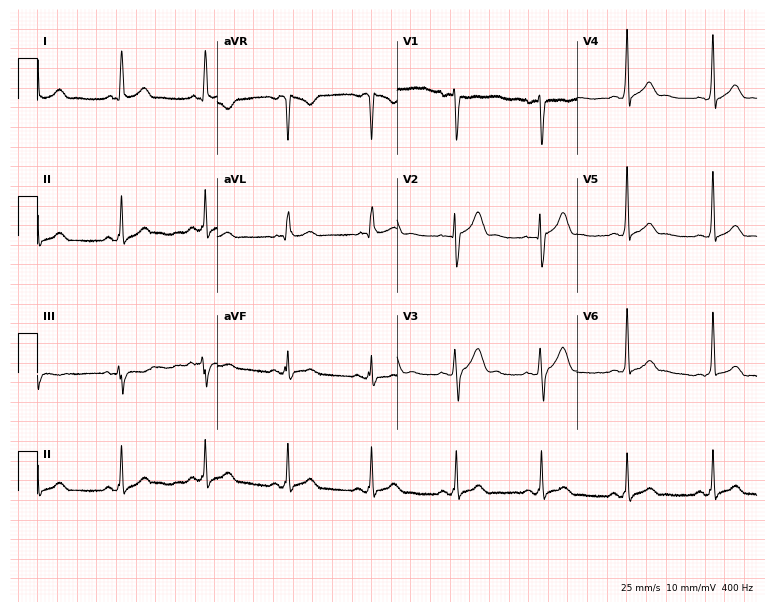
Resting 12-lead electrocardiogram. Patient: a man, 44 years old. None of these six findings is recorded: first-degree AV block, right bundle branch block, left bundle branch block, sinus bradycardia, atrial fibrillation, sinus tachycardia. Only these six findings were labelled.